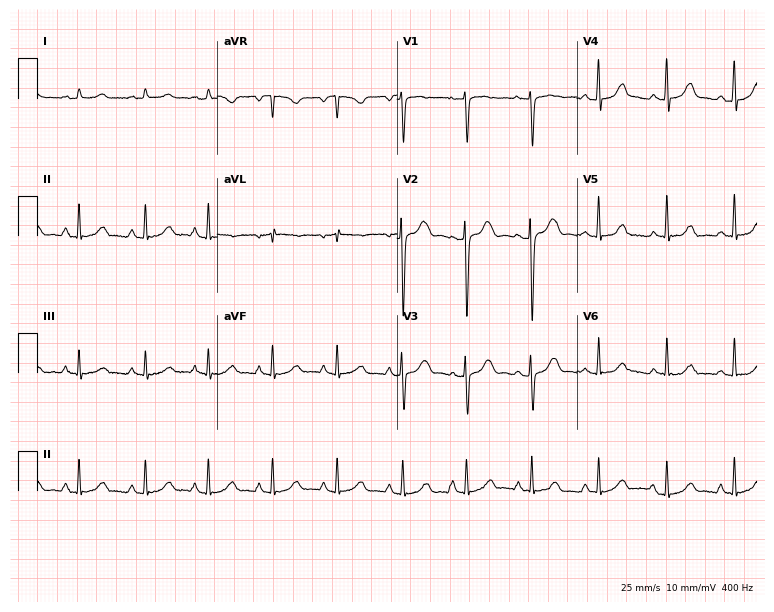
Resting 12-lead electrocardiogram (7.3-second recording at 400 Hz). Patient: a 32-year-old woman. Read as a normal ECG.